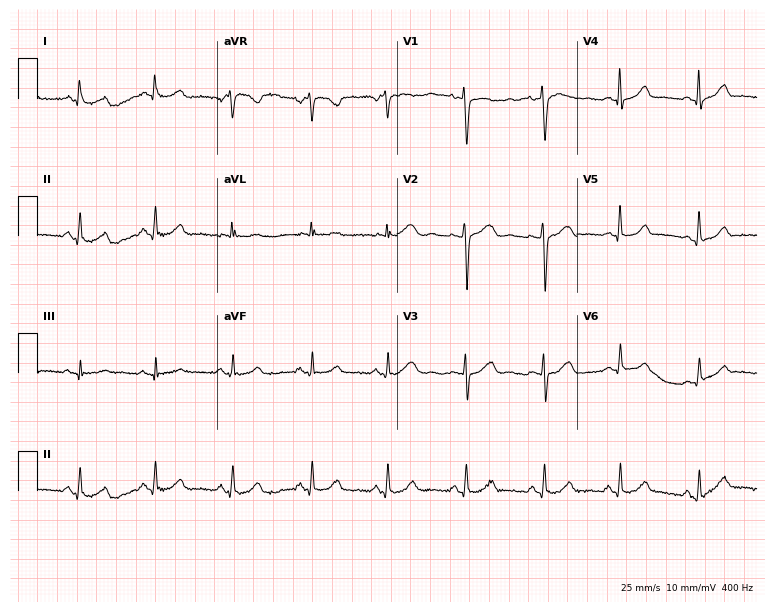
12-lead ECG (7.3-second recording at 400 Hz) from a 40-year-old woman. Screened for six findings — first-degree AV block, right bundle branch block (RBBB), left bundle branch block (LBBB), sinus bradycardia, atrial fibrillation (AF), sinus tachycardia — none is recorded. Only these six findings were labelled.